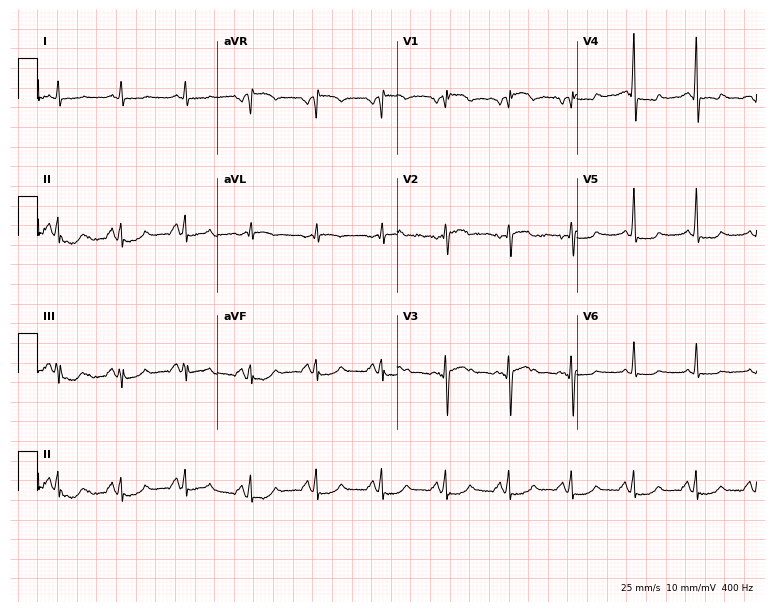
Resting 12-lead electrocardiogram. Patient: a male, 60 years old. None of these six findings is recorded: first-degree AV block, right bundle branch block, left bundle branch block, sinus bradycardia, atrial fibrillation, sinus tachycardia.